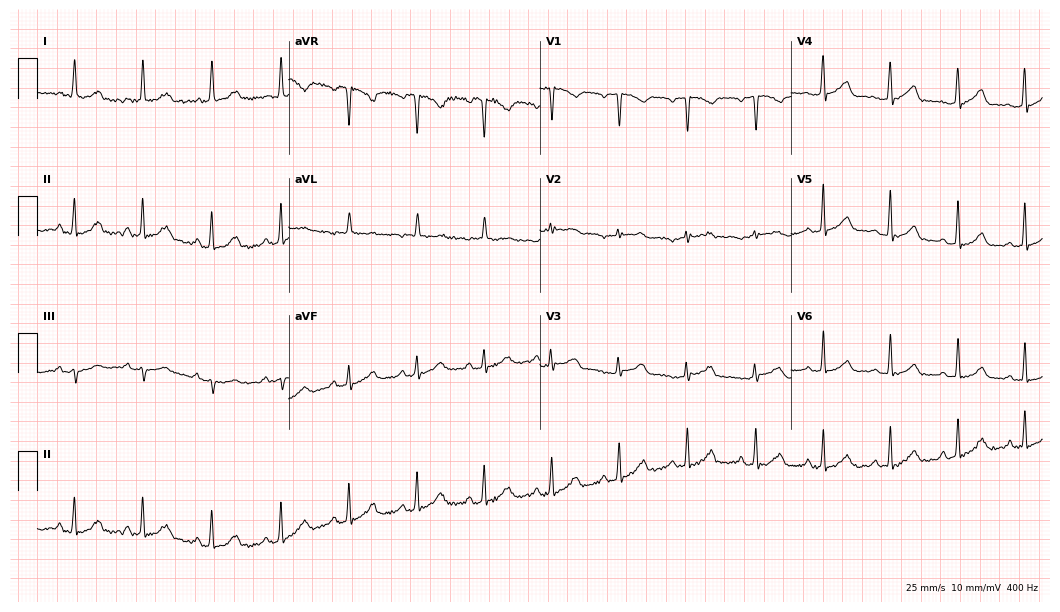
Electrocardiogram, a female, 59 years old. Overall reading on record: normal ECG.